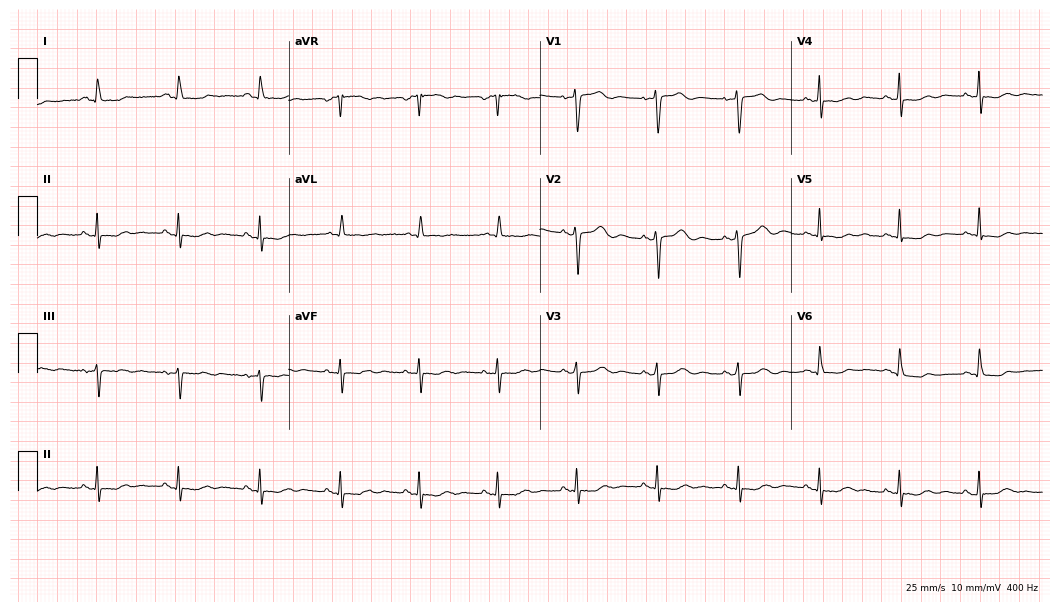
Electrocardiogram, a female patient, 60 years old. Of the six screened findings (first-degree AV block, right bundle branch block (RBBB), left bundle branch block (LBBB), sinus bradycardia, atrial fibrillation (AF), sinus tachycardia), none is recorded.